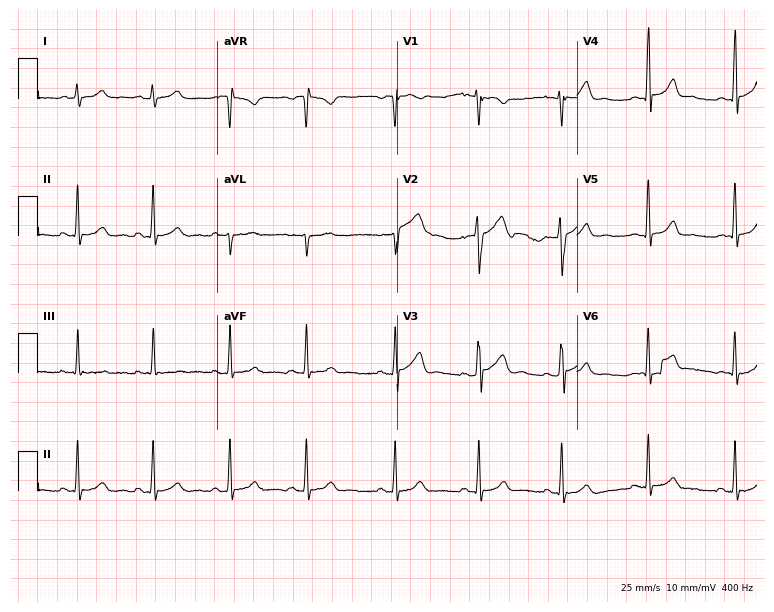
12-lead ECG from a 20-year-old female. Labelled as a normal ECG.